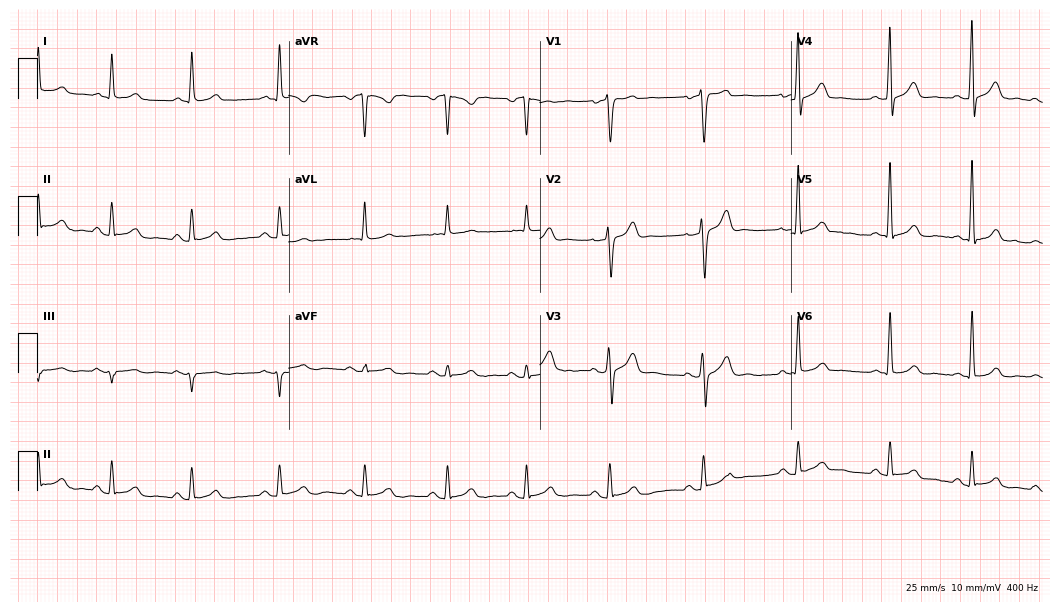
ECG (10.2-second recording at 400 Hz) — a 45-year-old man. Screened for six findings — first-degree AV block, right bundle branch block (RBBB), left bundle branch block (LBBB), sinus bradycardia, atrial fibrillation (AF), sinus tachycardia — none is recorded. Other findings, if any, are not listed.